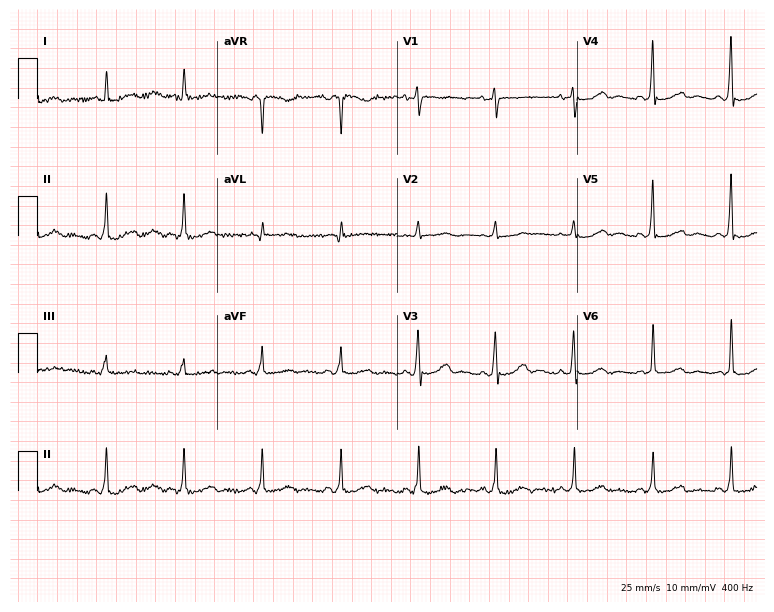
12-lead ECG (7.3-second recording at 400 Hz) from a female, 60 years old. Screened for six findings — first-degree AV block, right bundle branch block, left bundle branch block, sinus bradycardia, atrial fibrillation, sinus tachycardia — none is recorded.